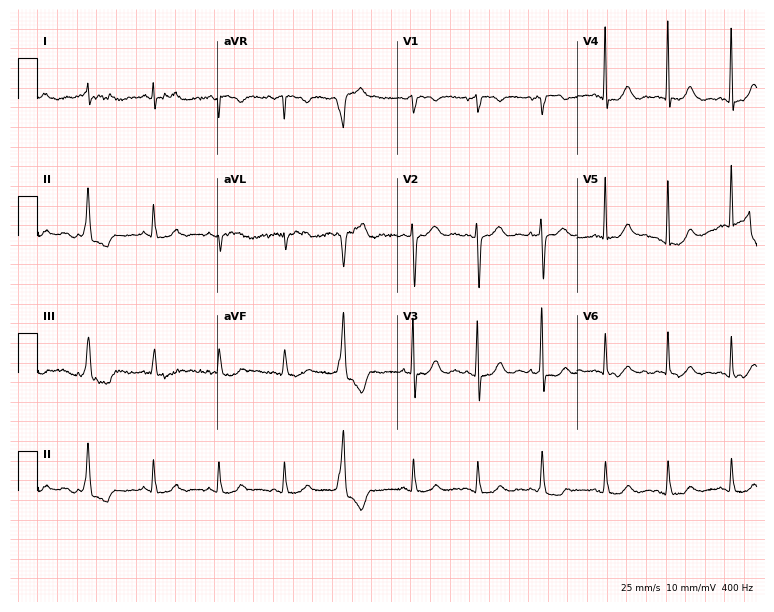
12-lead ECG from a woman, 77 years old. No first-degree AV block, right bundle branch block, left bundle branch block, sinus bradycardia, atrial fibrillation or sinus tachycardia recorded for this tracing.